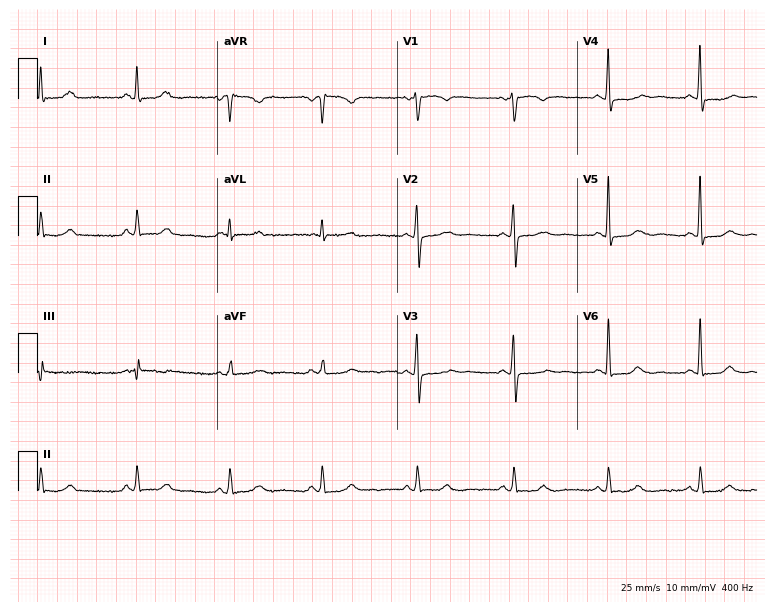
12-lead ECG from a female patient, 49 years old. Labelled as a normal ECG.